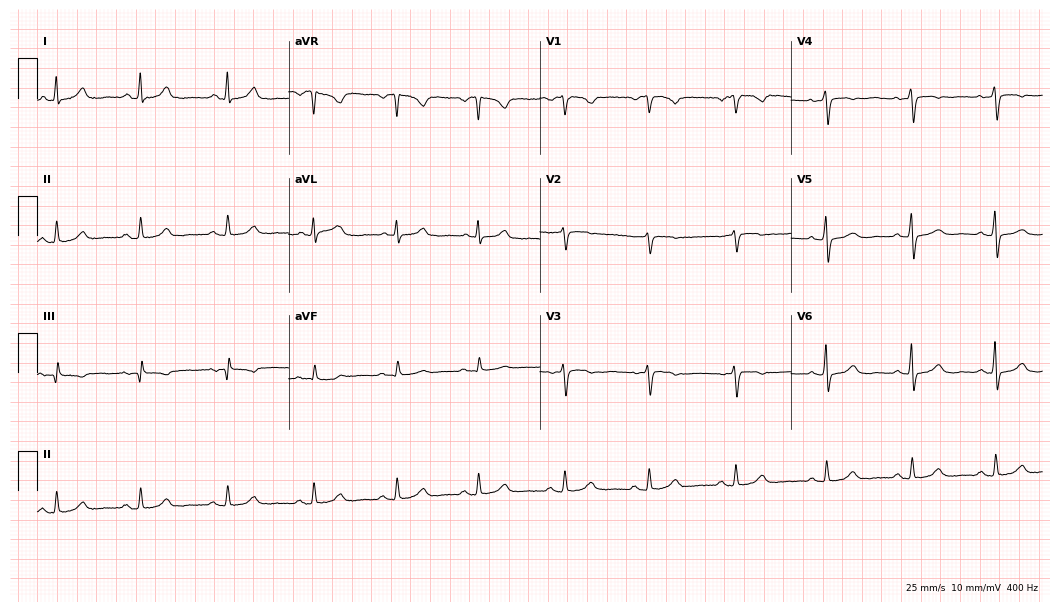
Resting 12-lead electrocardiogram. Patient: a woman, 64 years old. None of these six findings is recorded: first-degree AV block, right bundle branch block, left bundle branch block, sinus bradycardia, atrial fibrillation, sinus tachycardia.